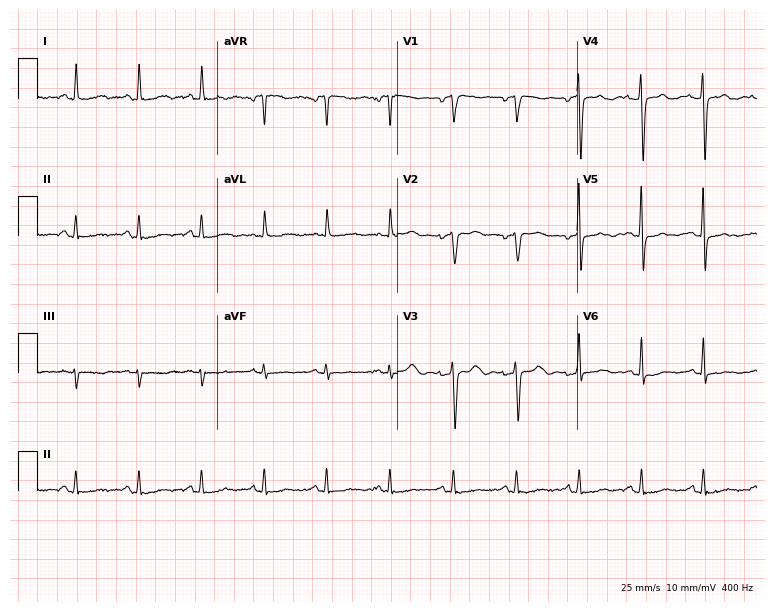
12-lead ECG (7.3-second recording at 400 Hz) from a female, 47 years old. Screened for six findings — first-degree AV block, right bundle branch block, left bundle branch block, sinus bradycardia, atrial fibrillation, sinus tachycardia — none is recorded. Other findings, if any, are not listed.